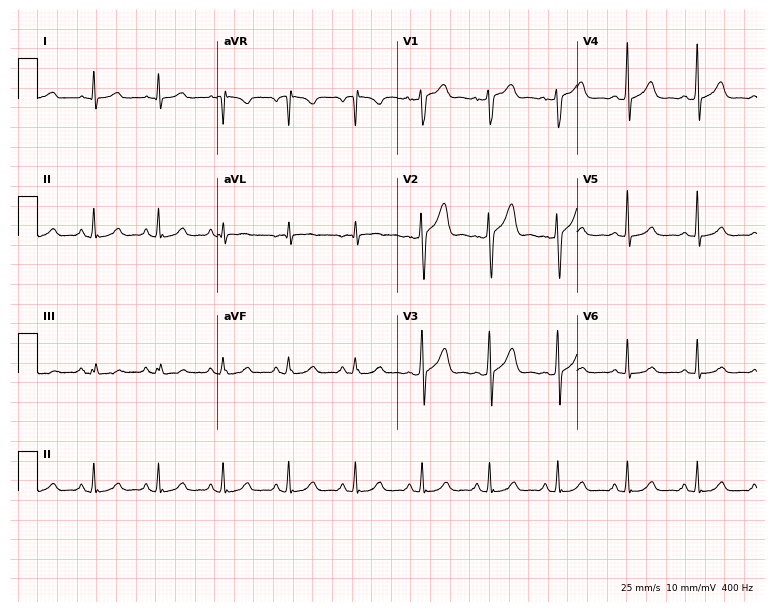
ECG — a 43-year-old male. Screened for six findings — first-degree AV block, right bundle branch block, left bundle branch block, sinus bradycardia, atrial fibrillation, sinus tachycardia — none is recorded.